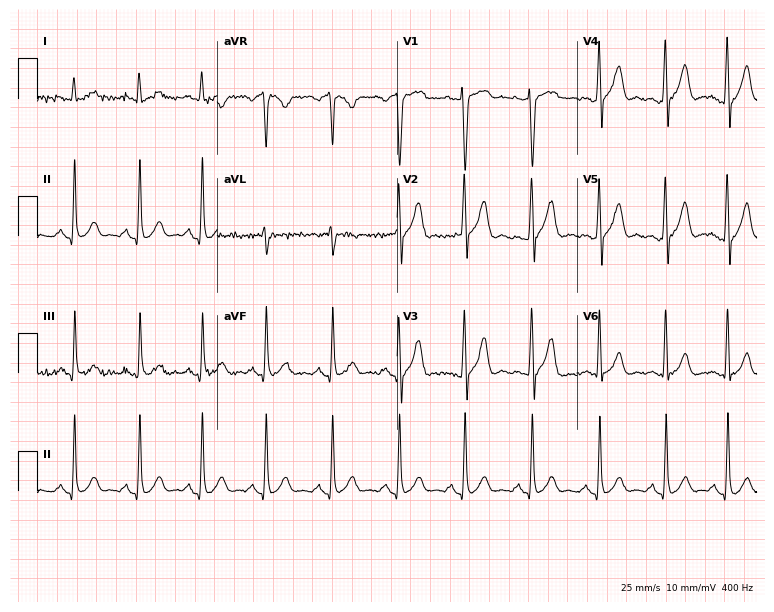
ECG — a 44-year-old male patient. Screened for six findings — first-degree AV block, right bundle branch block, left bundle branch block, sinus bradycardia, atrial fibrillation, sinus tachycardia — none is recorded.